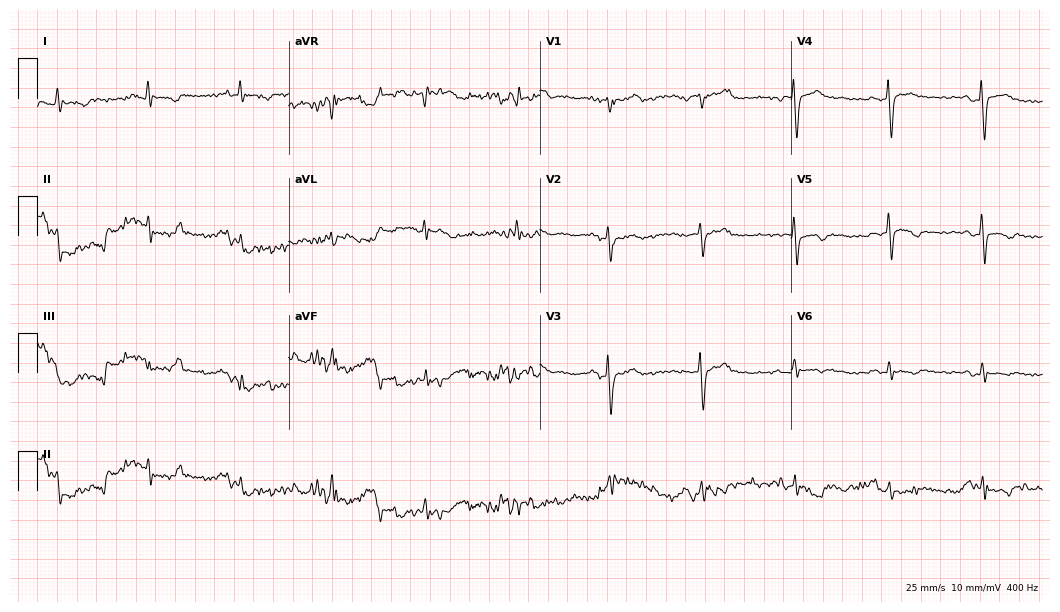
ECG — a man, 71 years old. Screened for six findings — first-degree AV block, right bundle branch block, left bundle branch block, sinus bradycardia, atrial fibrillation, sinus tachycardia — none is recorded.